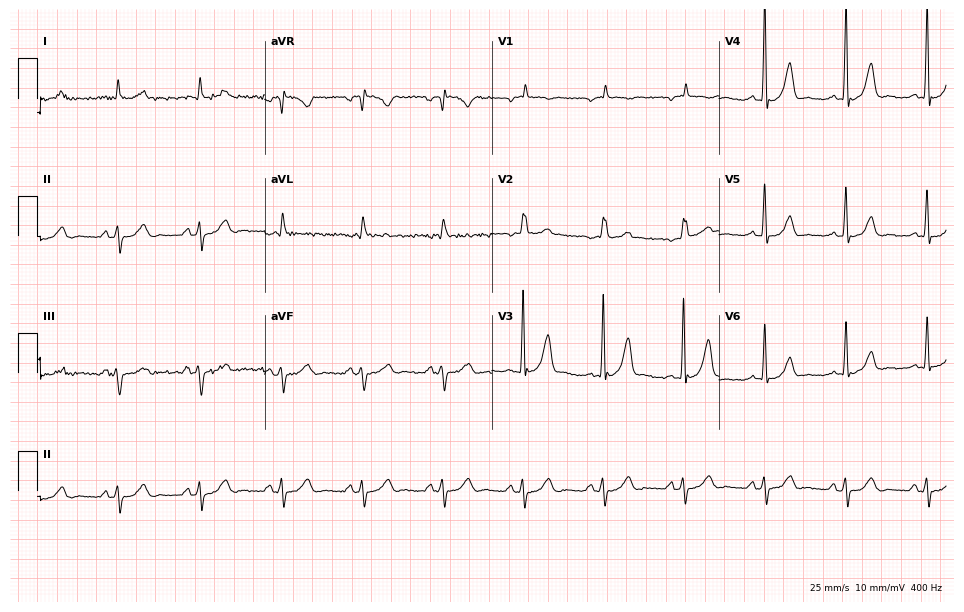
ECG (9.3-second recording at 400 Hz) — a male, 77 years old. Screened for six findings — first-degree AV block, right bundle branch block, left bundle branch block, sinus bradycardia, atrial fibrillation, sinus tachycardia — none is recorded. Other findings, if any, are not listed.